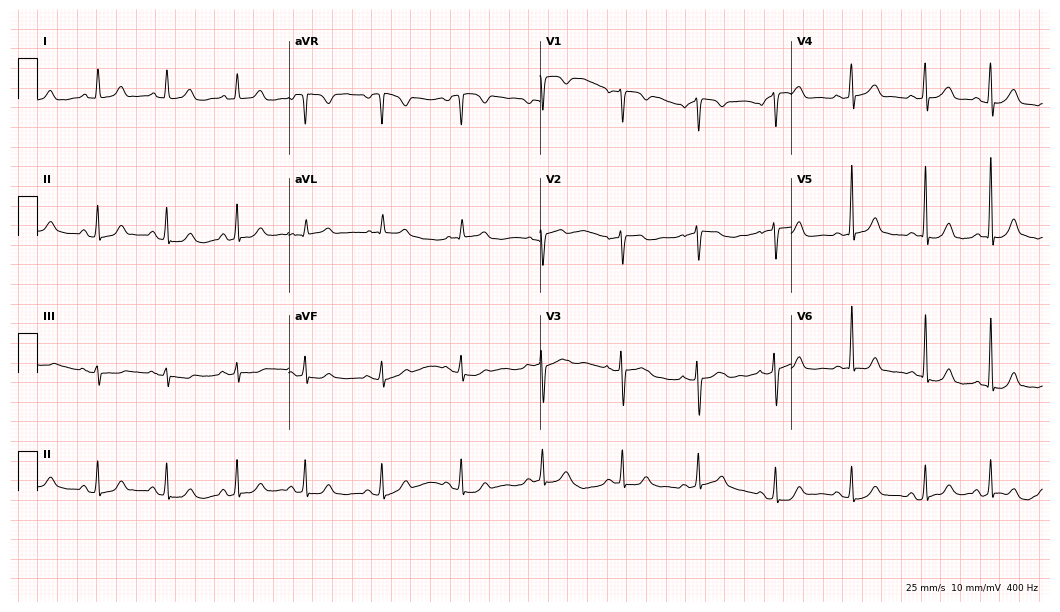
Electrocardiogram (10.2-second recording at 400 Hz), a woman, 49 years old. Of the six screened findings (first-degree AV block, right bundle branch block, left bundle branch block, sinus bradycardia, atrial fibrillation, sinus tachycardia), none is recorded. Other findings, if any, are not listed.